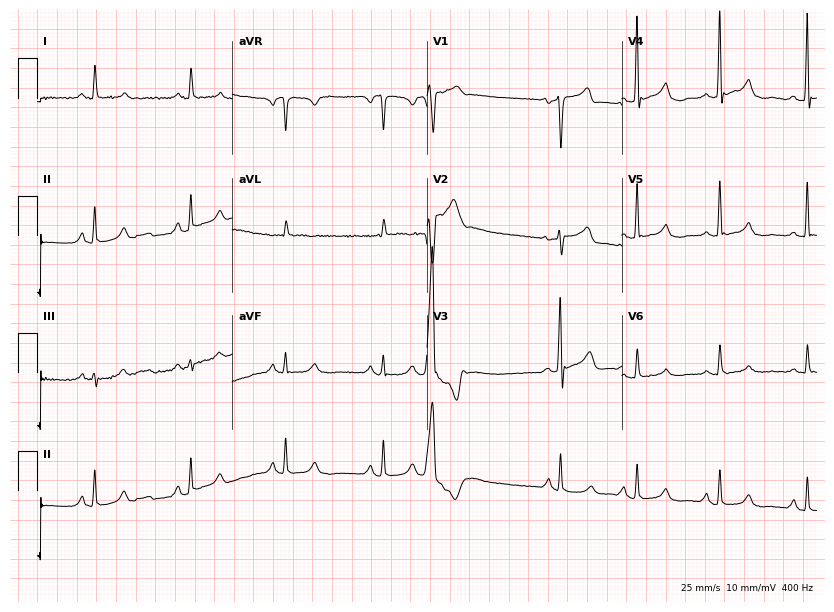
12-lead ECG from a man, 60 years old (7.9-second recording at 400 Hz). No first-degree AV block, right bundle branch block (RBBB), left bundle branch block (LBBB), sinus bradycardia, atrial fibrillation (AF) or sinus tachycardia recorded for this tracing.